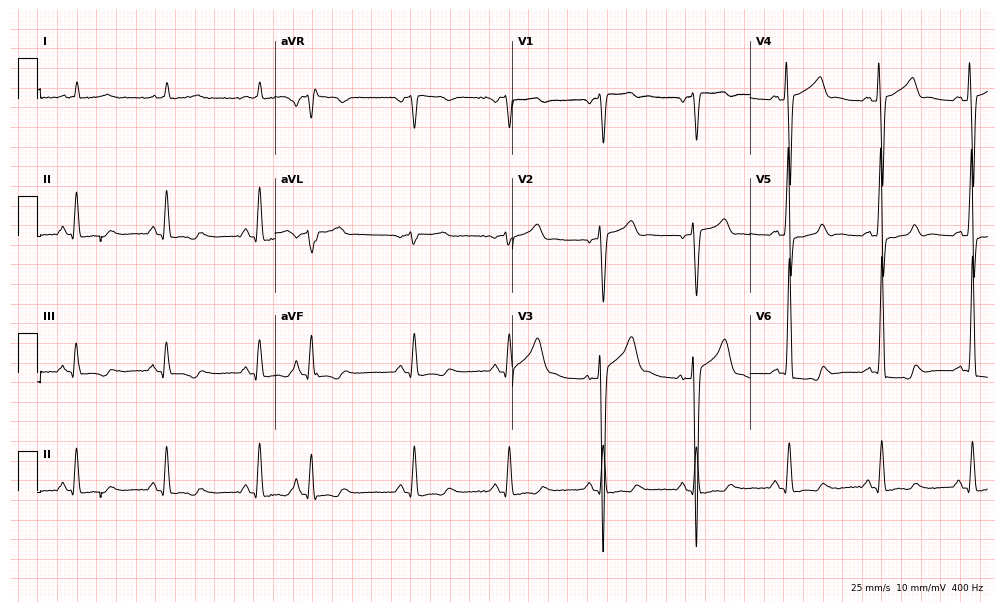
Electrocardiogram, a male patient, 77 years old. Of the six screened findings (first-degree AV block, right bundle branch block (RBBB), left bundle branch block (LBBB), sinus bradycardia, atrial fibrillation (AF), sinus tachycardia), none is recorded.